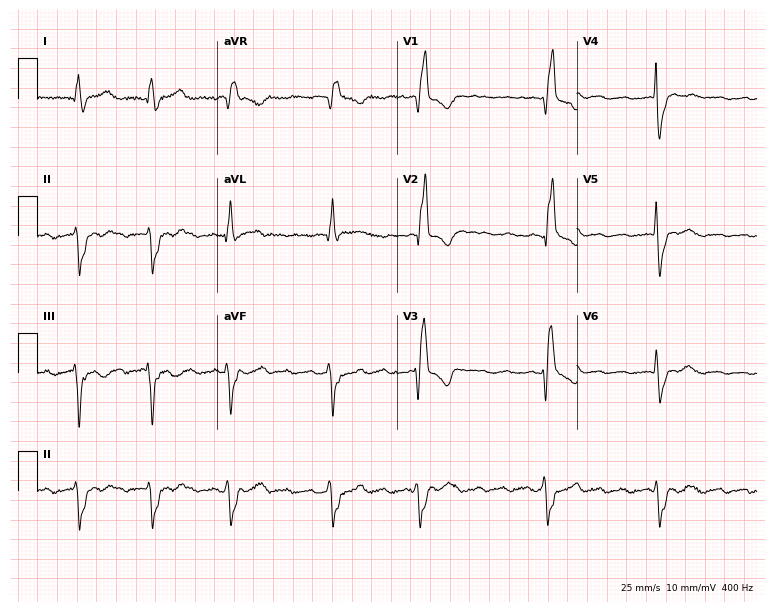
ECG — a female, 72 years old. Findings include right bundle branch block (RBBB), atrial fibrillation (AF).